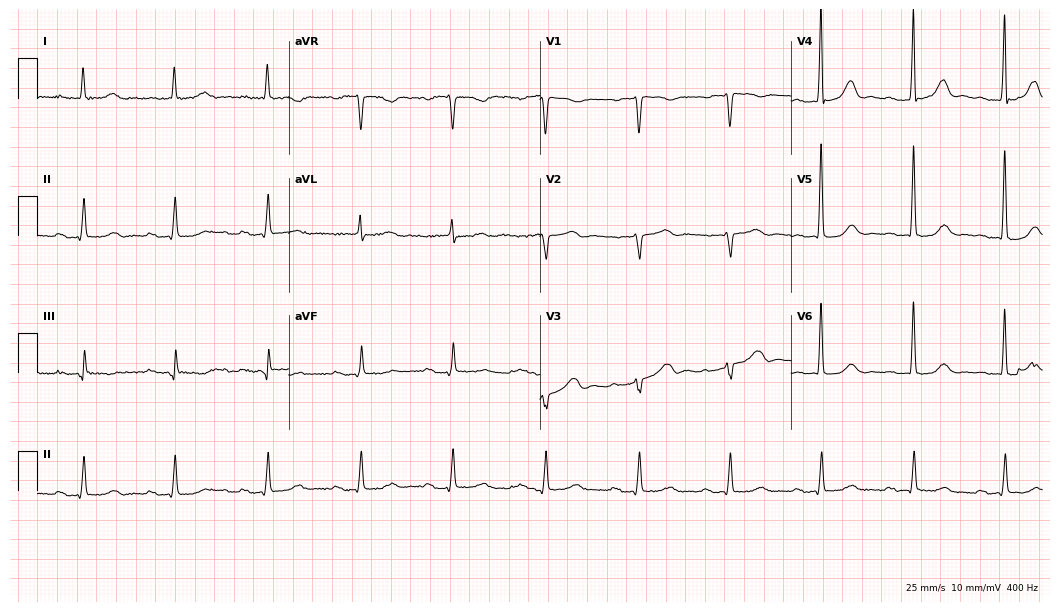
Standard 12-lead ECG recorded from an 81-year-old woman (10.2-second recording at 400 Hz). None of these six findings is recorded: first-degree AV block, right bundle branch block, left bundle branch block, sinus bradycardia, atrial fibrillation, sinus tachycardia. Other findings, if any, are not listed.